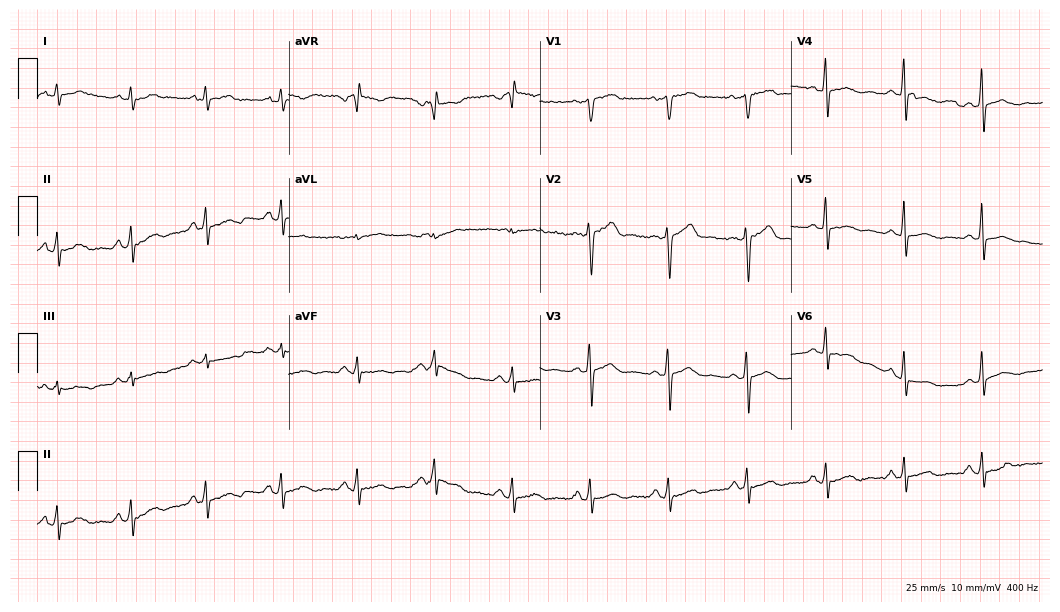
Electrocardiogram, a male patient, 54 years old. Overall reading on record: normal ECG.